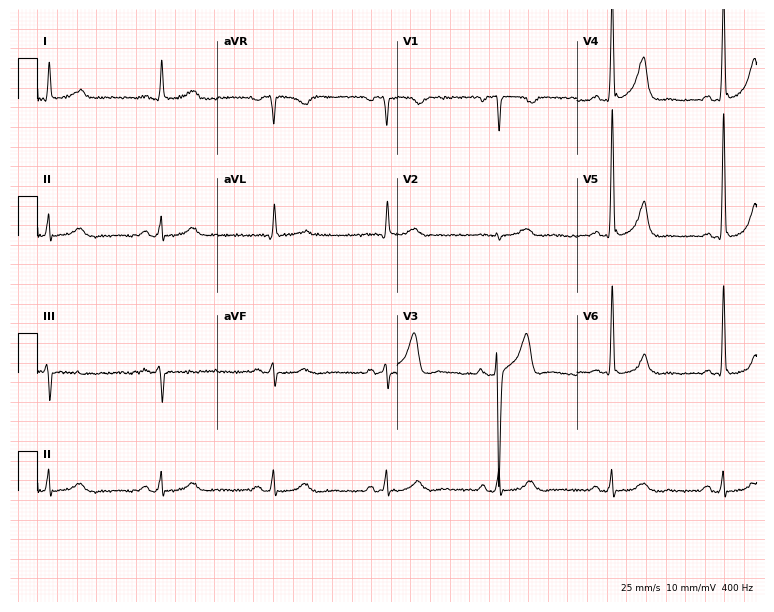
12-lead ECG from a 61-year-old man. Labelled as a normal ECG.